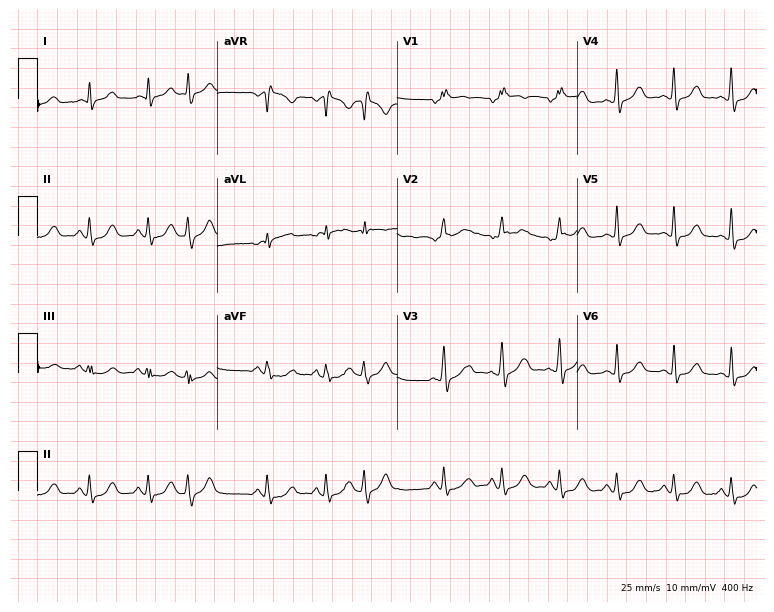
12-lead ECG from a 61-year-old male. No first-degree AV block, right bundle branch block, left bundle branch block, sinus bradycardia, atrial fibrillation or sinus tachycardia recorded for this tracing.